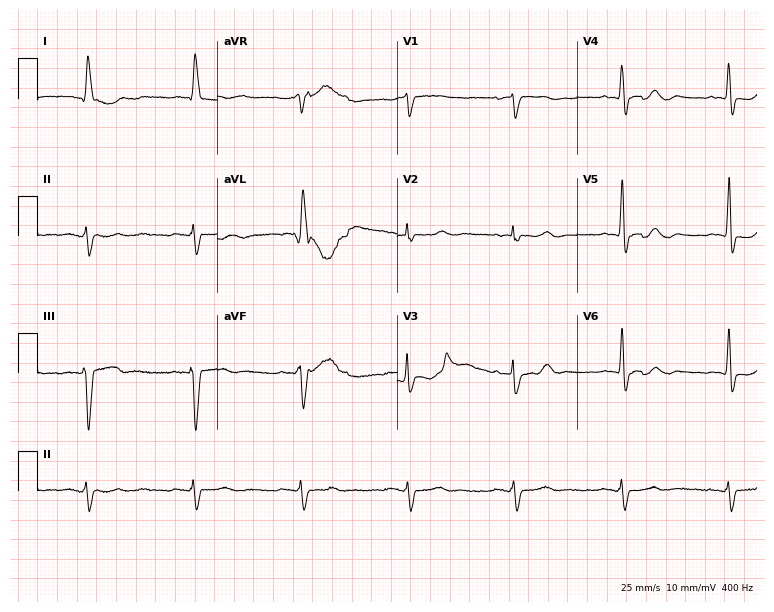
ECG (7.3-second recording at 400 Hz) — an 86-year-old female. Screened for six findings — first-degree AV block, right bundle branch block, left bundle branch block, sinus bradycardia, atrial fibrillation, sinus tachycardia — none is recorded.